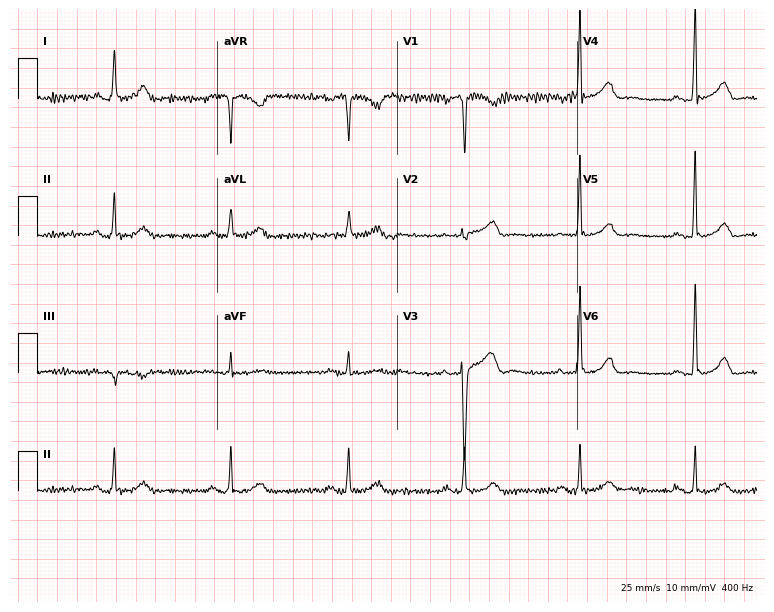
ECG (7.3-second recording at 400 Hz) — a male, 51 years old. Findings include sinus bradycardia (a sinus rate of 50 beats per minute or less).